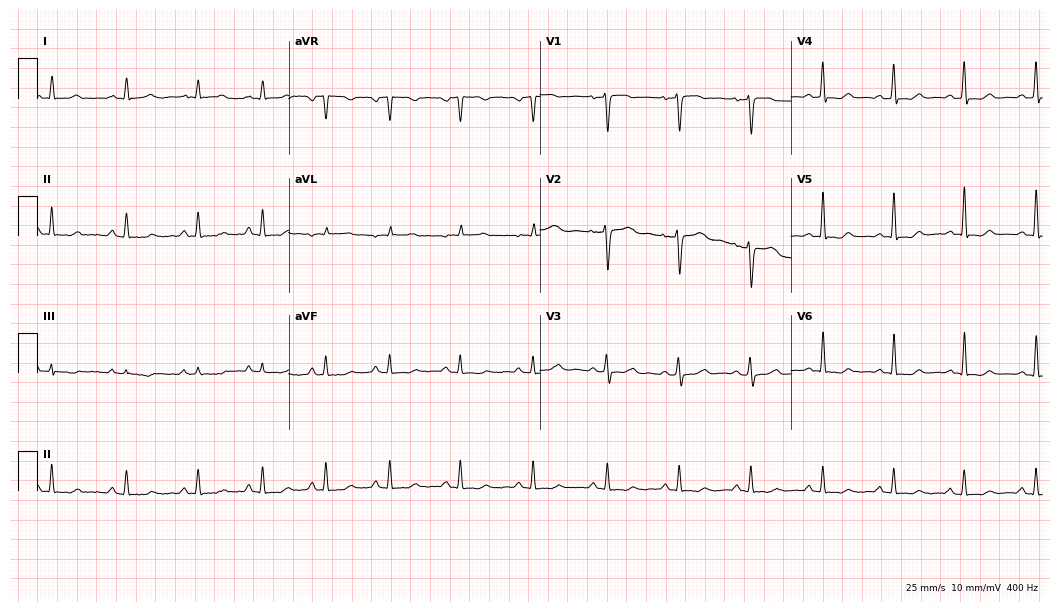
Standard 12-lead ECG recorded from a female patient, 45 years old. Read as a normal ECG.